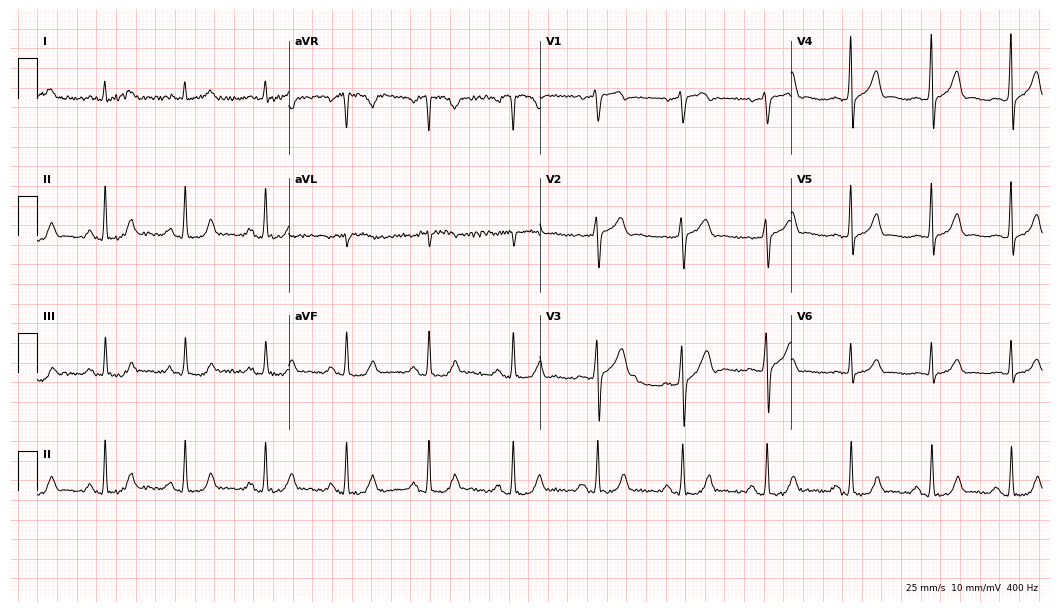
Standard 12-lead ECG recorded from a man, 65 years old. None of these six findings is recorded: first-degree AV block, right bundle branch block (RBBB), left bundle branch block (LBBB), sinus bradycardia, atrial fibrillation (AF), sinus tachycardia. Other findings, if any, are not listed.